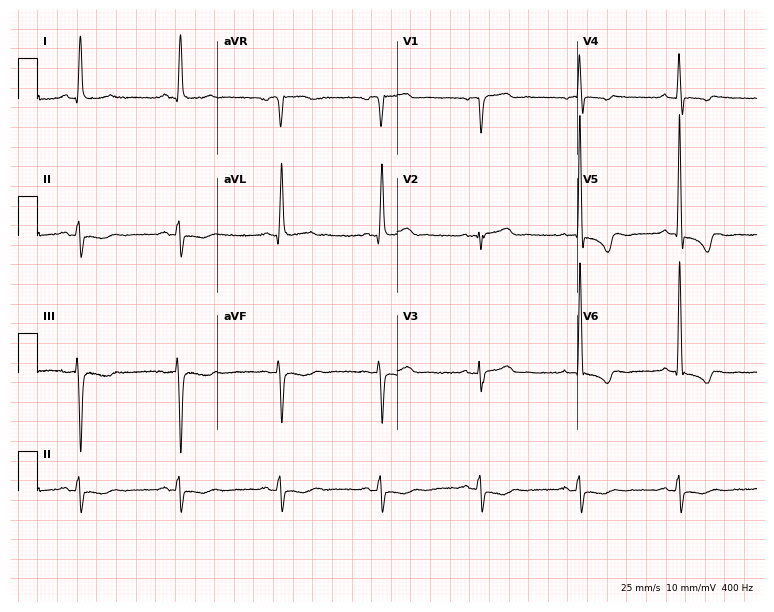
Electrocardiogram, a 75-year-old male. Of the six screened findings (first-degree AV block, right bundle branch block, left bundle branch block, sinus bradycardia, atrial fibrillation, sinus tachycardia), none is recorded.